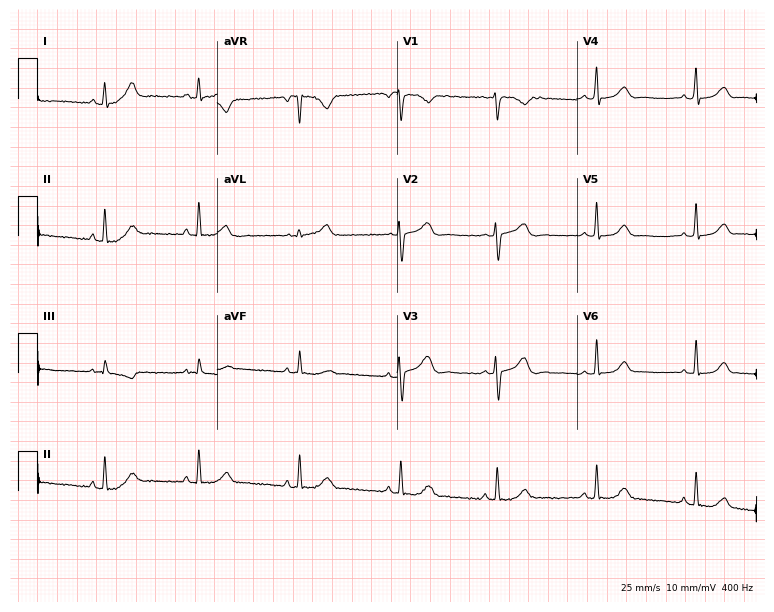
Resting 12-lead electrocardiogram (7.3-second recording at 400 Hz). Patient: a 24-year-old female. None of these six findings is recorded: first-degree AV block, right bundle branch block, left bundle branch block, sinus bradycardia, atrial fibrillation, sinus tachycardia. Only these six findings were labelled.